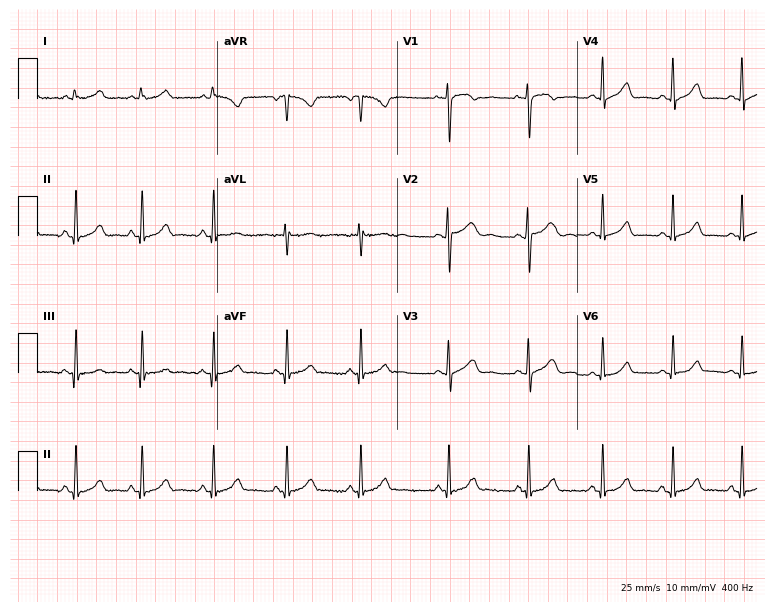
12-lead ECG from a 36-year-old female. Recorded interpretation: within normal limits.